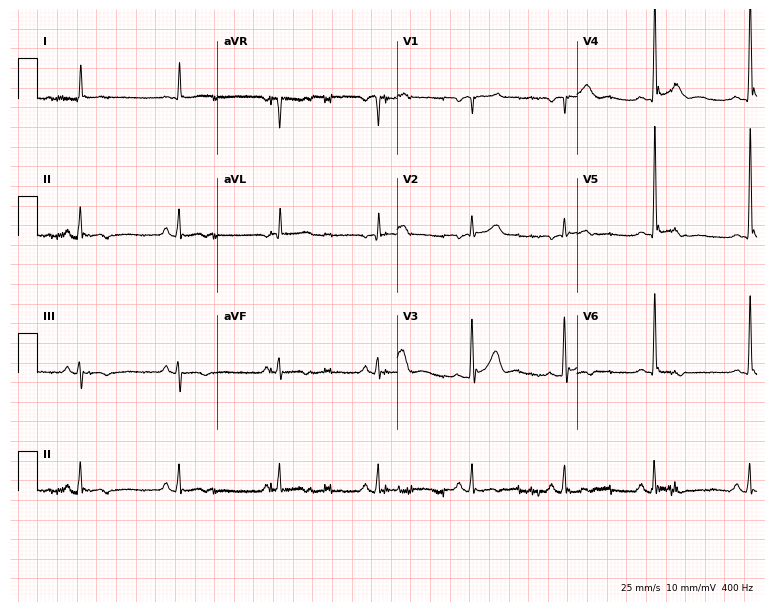
12-lead ECG from a 63-year-old male. Screened for six findings — first-degree AV block, right bundle branch block, left bundle branch block, sinus bradycardia, atrial fibrillation, sinus tachycardia — none is recorded. Findings outside these six are not listed.